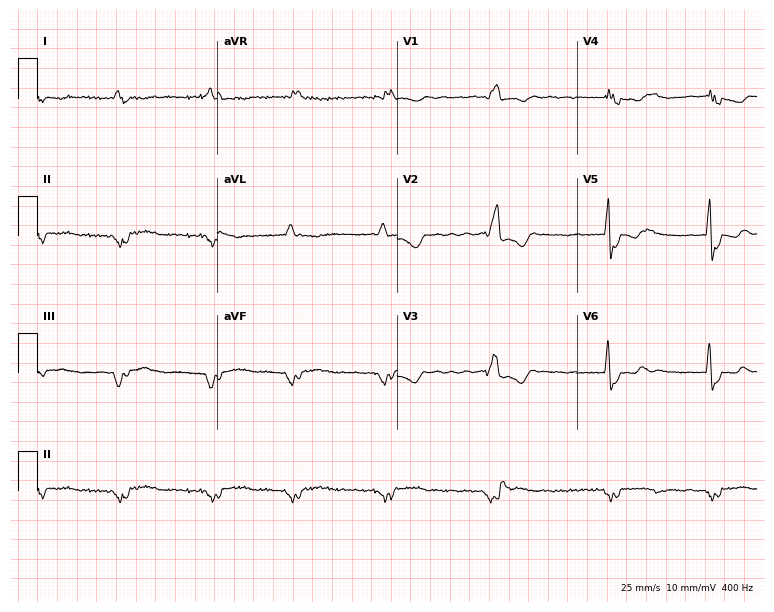
Electrocardiogram (7.3-second recording at 400 Hz), a 55-year-old male. Interpretation includes right bundle branch block, atrial fibrillation.